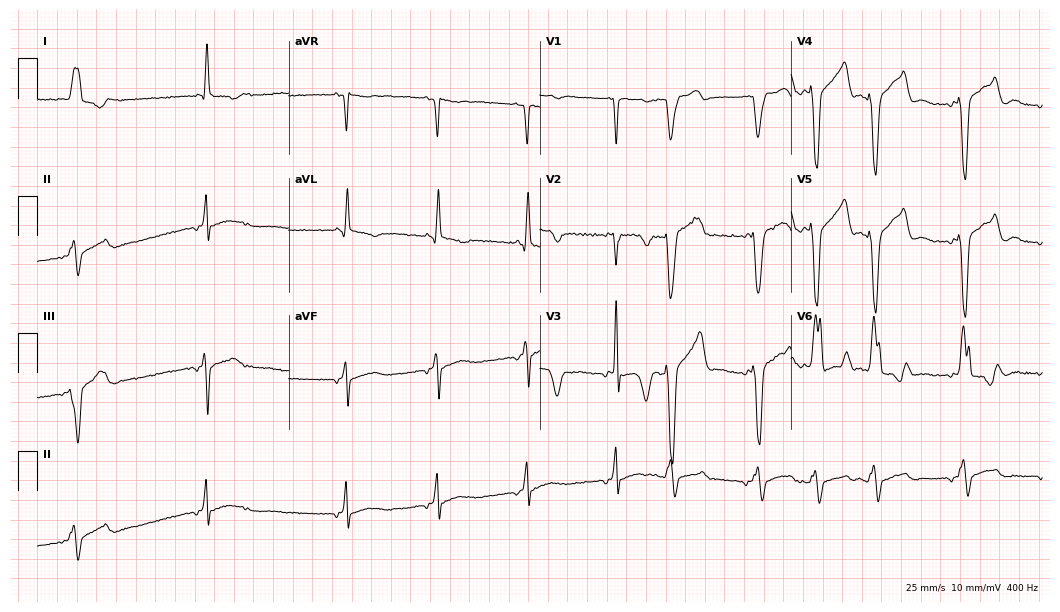
12-lead ECG from a male patient, 77 years old. No first-degree AV block, right bundle branch block, left bundle branch block, sinus bradycardia, atrial fibrillation or sinus tachycardia recorded for this tracing.